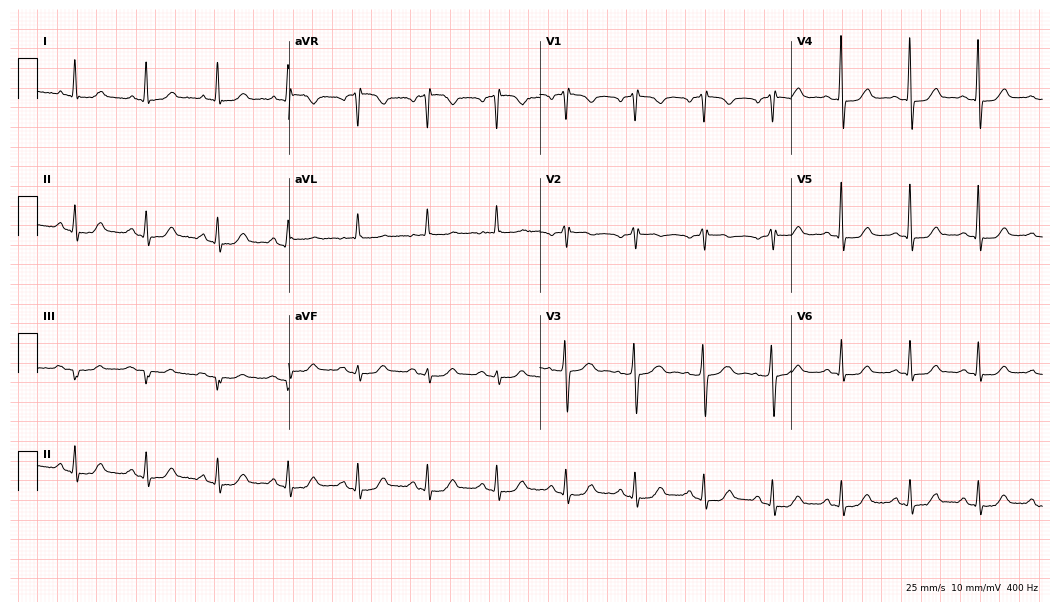
12-lead ECG from a 60-year-old woman (10.2-second recording at 400 Hz). No first-degree AV block, right bundle branch block (RBBB), left bundle branch block (LBBB), sinus bradycardia, atrial fibrillation (AF) or sinus tachycardia recorded for this tracing. Other findings, if any, are not listed.